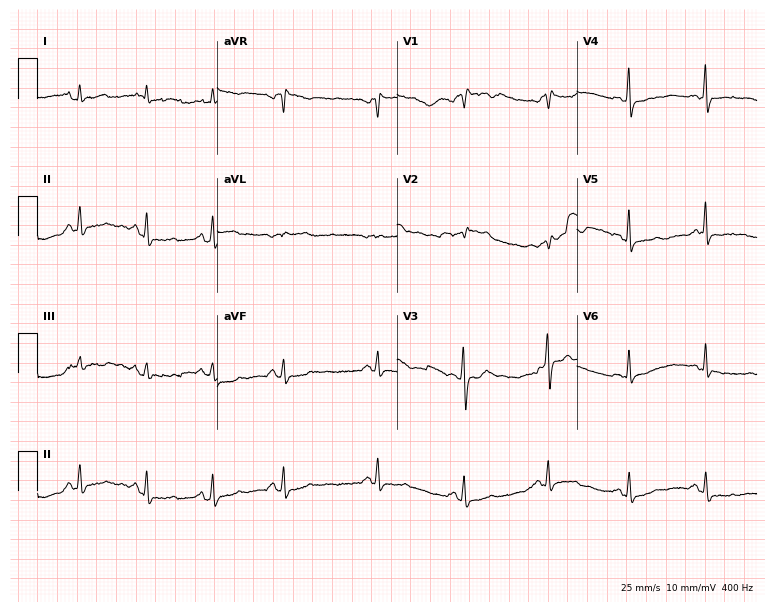
Resting 12-lead electrocardiogram (7.3-second recording at 400 Hz). Patient: a 53-year-old female. None of these six findings is recorded: first-degree AV block, right bundle branch block, left bundle branch block, sinus bradycardia, atrial fibrillation, sinus tachycardia.